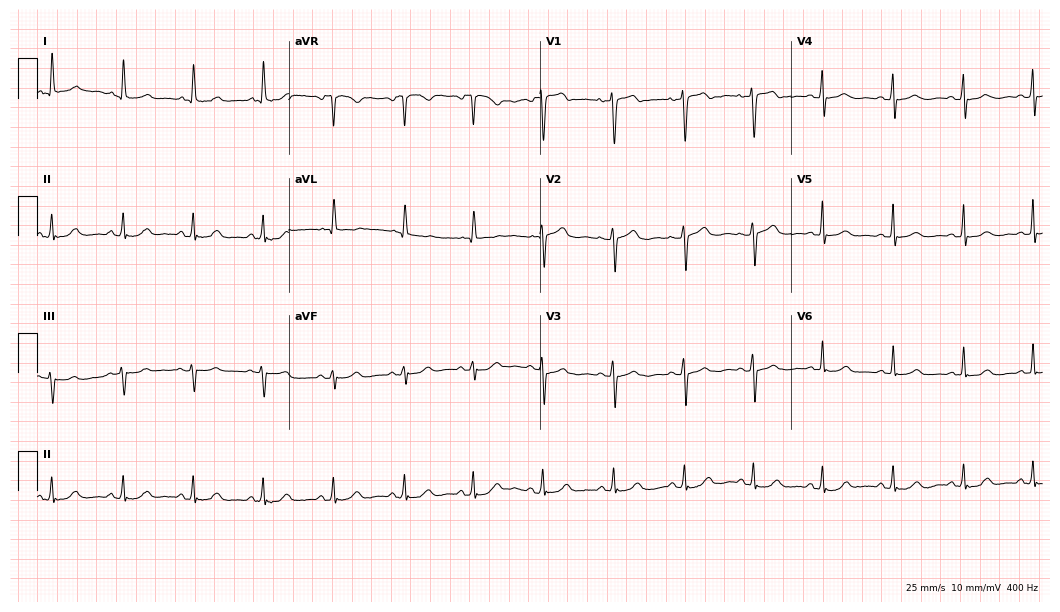
12-lead ECG from a 54-year-old female patient. Recorded interpretation: within normal limits.